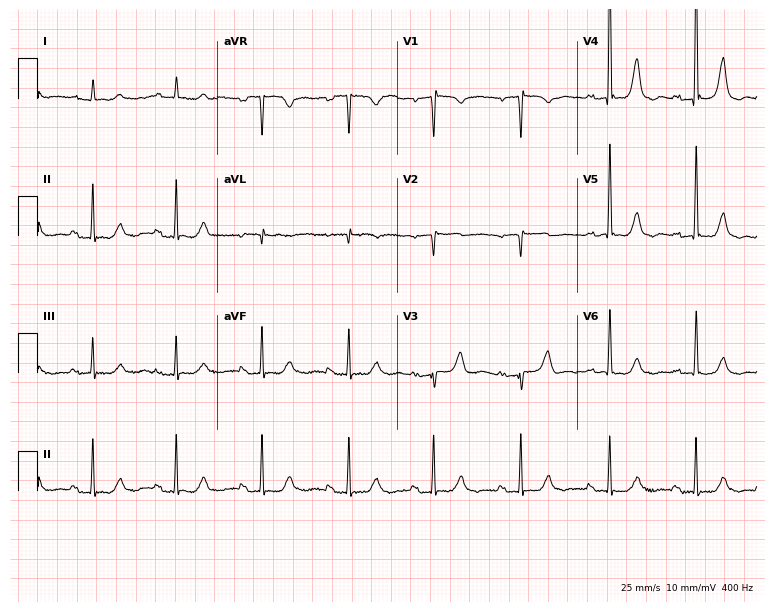
12-lead ECG from an 80-year-old female. Shows first-degree AV block.